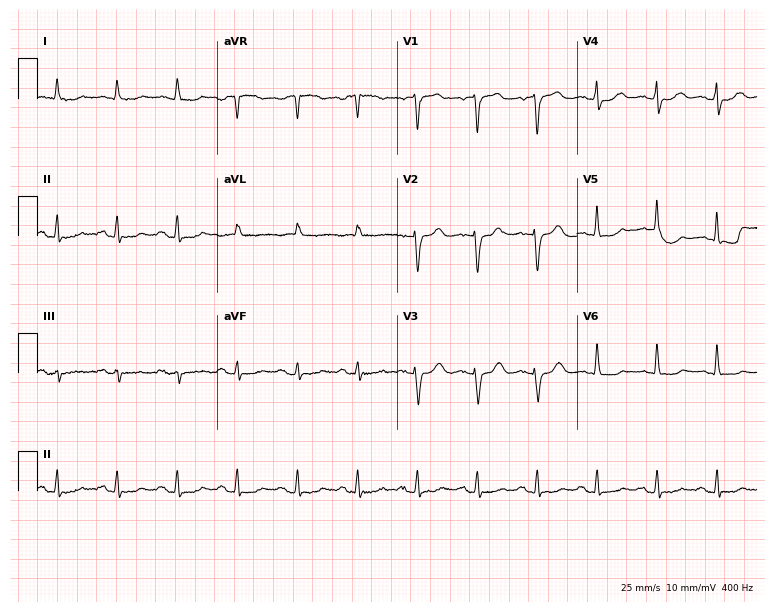
Electrocardiogram (7.3-second recording at 400 Hz), a 71-year-old woman. Of the six screened findings (first-degree AV block, right bundle branch block, left bundle branch block, sinus bradycardia, atrial fibrillation, sinus tachycardia), none is recorded.